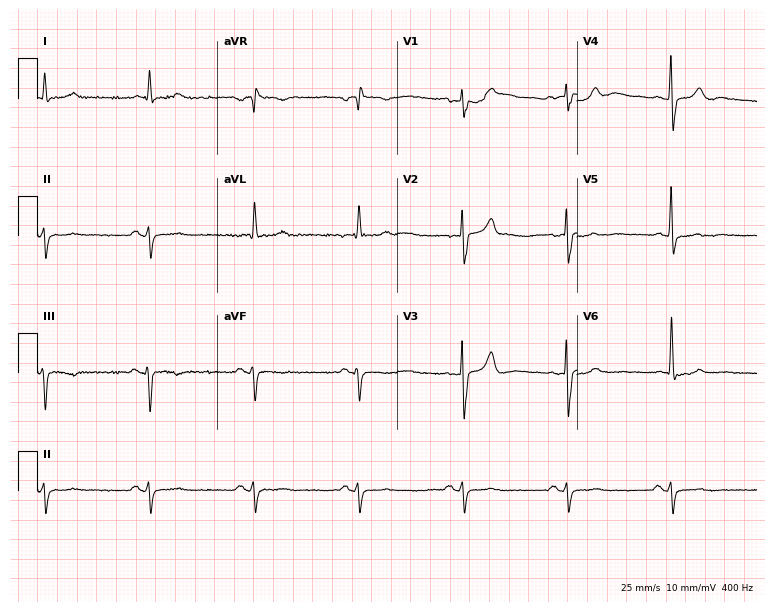
Resting 12-lead electrocardiogram (7.3-second recording at 400 Hz). Patient: an 80-year-old male. None of these six findings is recorded: first-degree AV block, right bundle branch block, left bundle branch block, sinus bradycardia, atrial fibrillation, sinus tachycardia.